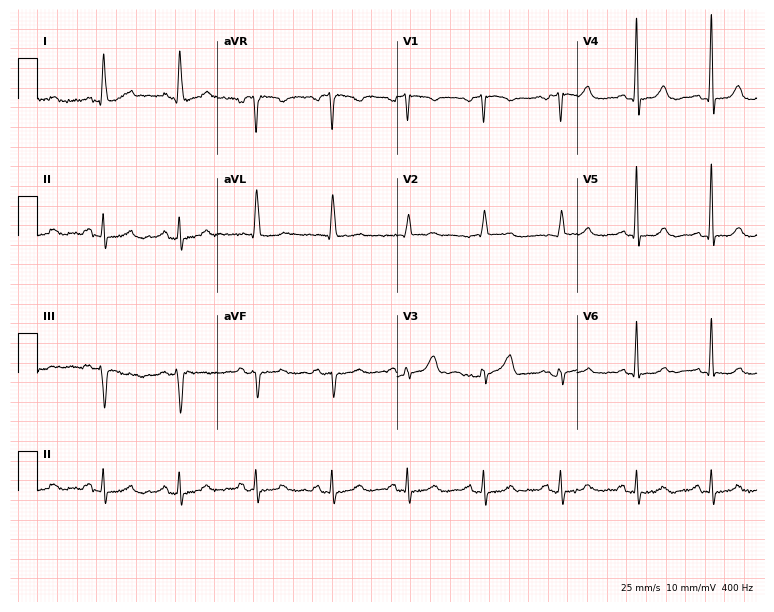
12-lead ECG from a female, 63 years old. Labelled as a normal ECG.